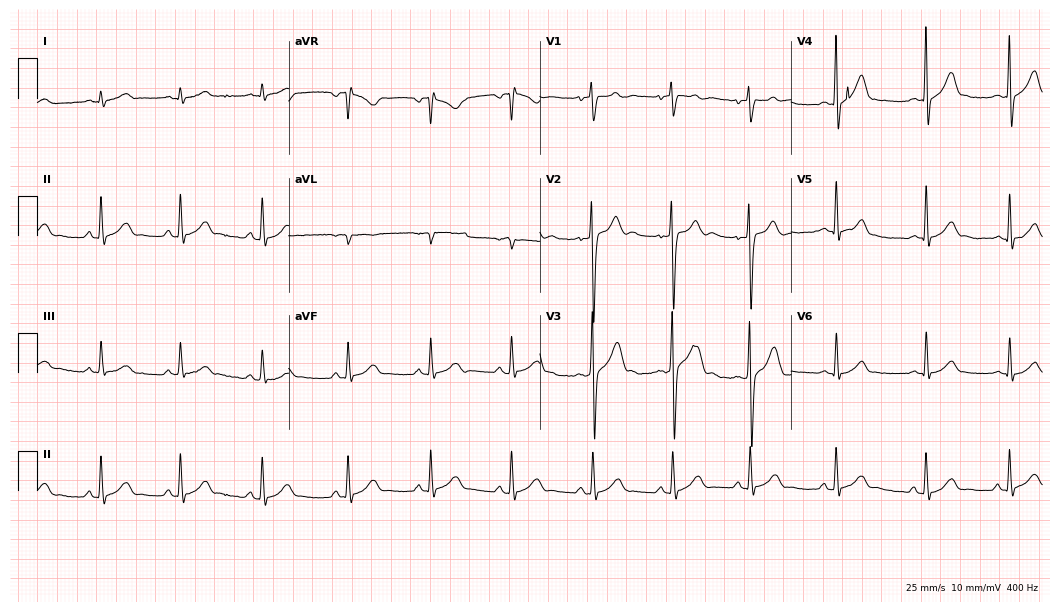
Standard 12-lead ECG recorded from a male, 17 years old (10.2-second recording at 400 Hz). Read as a normal ECG.